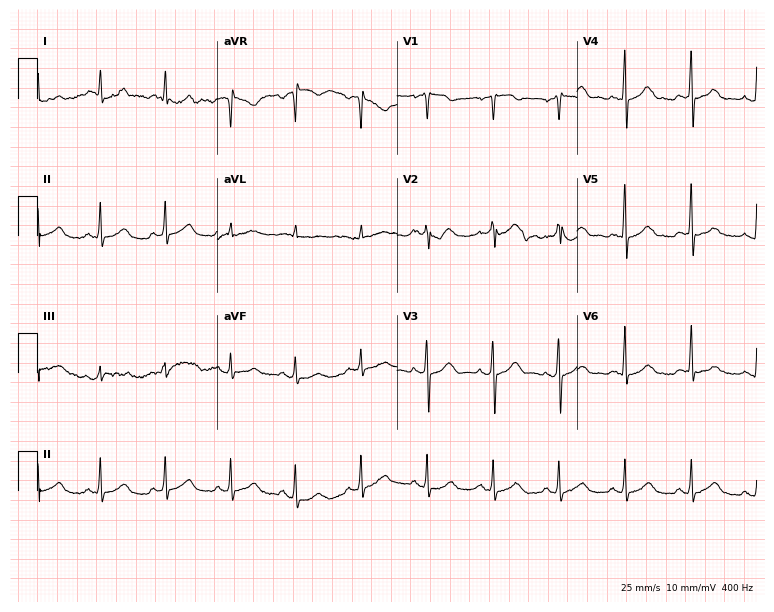
Resting 12-lead electrocardiogram. Patient: a 45-year-old woman. None of these six findings is recorded: first-degree AV block, right bundle branch block, left bundle branch block, sinus bradycardia, atrial fibrillation, sinus tachycardia.